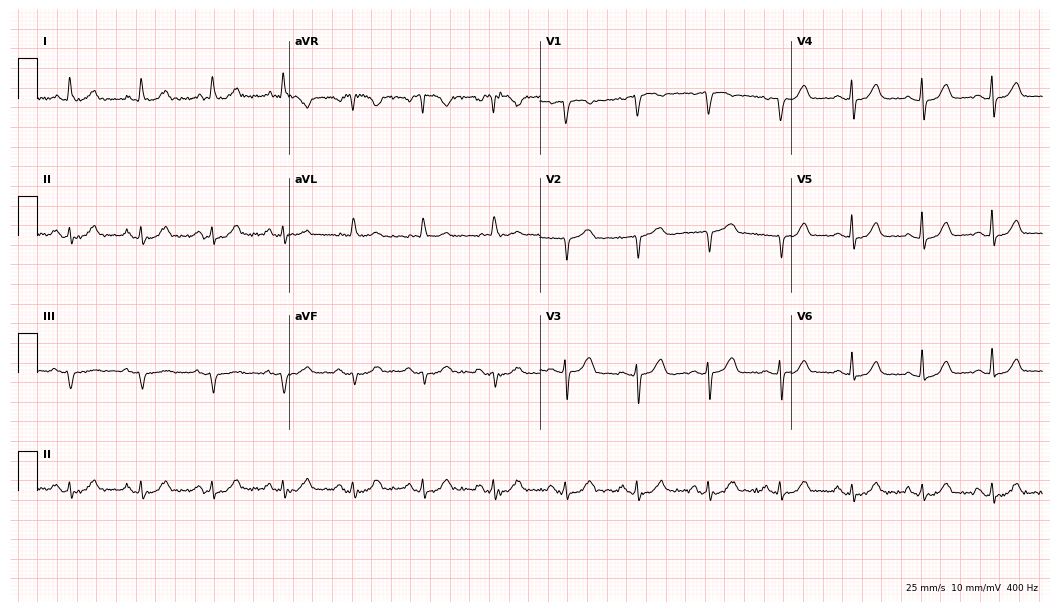
ECG (10.2-second recording at 400 Hz) — a 71-year-old woman. Screened for six findings — first-degree AV block, right bundle branch block (RBBB), left bundle branch block (LBBB), sinus bradycardia, atrial fibrillation (AF), sinus tachycardia — none is recorded. Only these six findings were labelled.